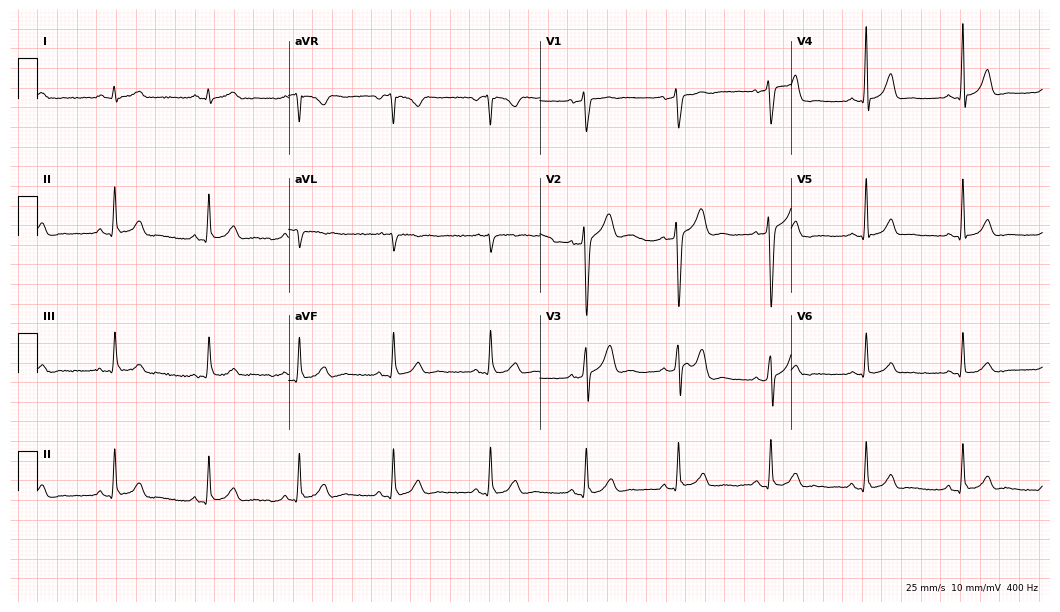
Standard 12-lead ECG recorded from a 41-year-old male (10.2-second recording at 400 Hz). None of these six findings is recorded: first-degree AV block, right bundle branch block, left bundle branch block, sinus bradycardia, atrial fibrillation, sinus tachycardia. Findings outside these six are not listed.